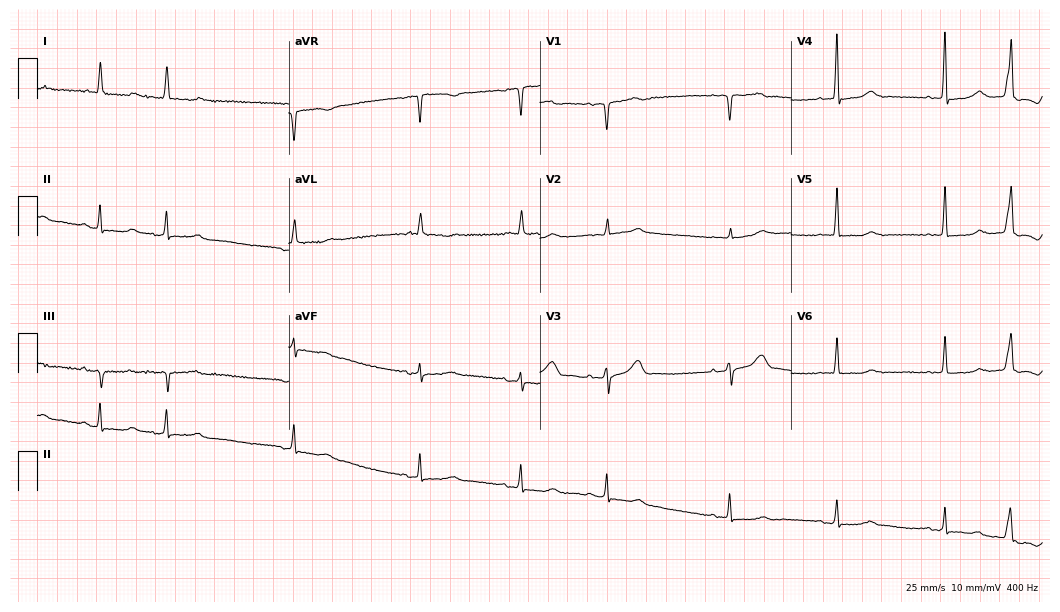
12-lead ECG from a 73-year-old woman. Screened for six findings — first-degree AV block, right bundle branch block, left bundle branch block, sinus bradycardia, atrial fibrillation, sinus tachycardia — none is recorded. Findings outside these six are not listed.